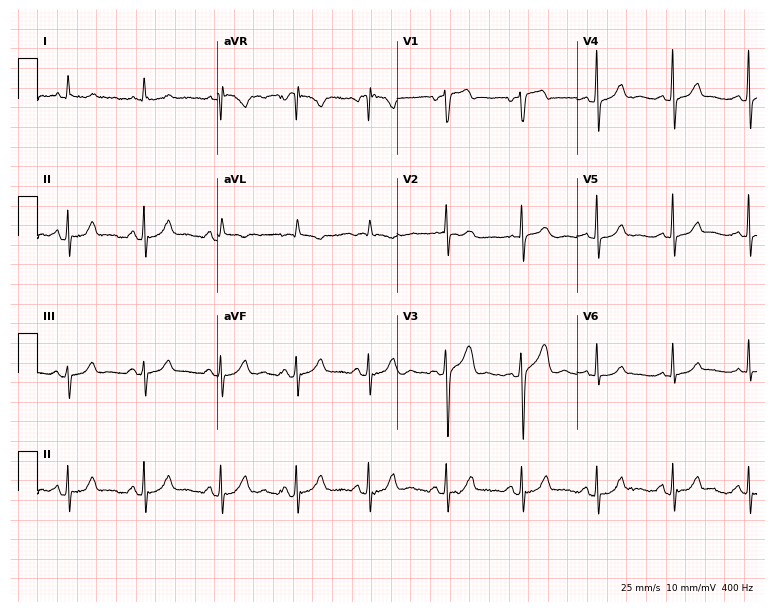
Resting 12-lead electrocardiogram. Patient: a man, 84 years old. Read as a normal ECG.